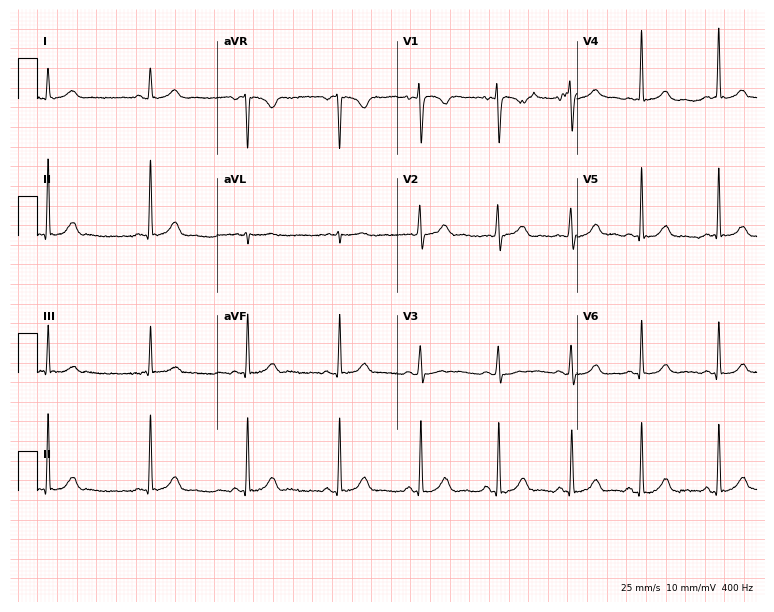
Standard 12-lead ECG recorded from a 25-year-old woman. Read as a normal ECG.